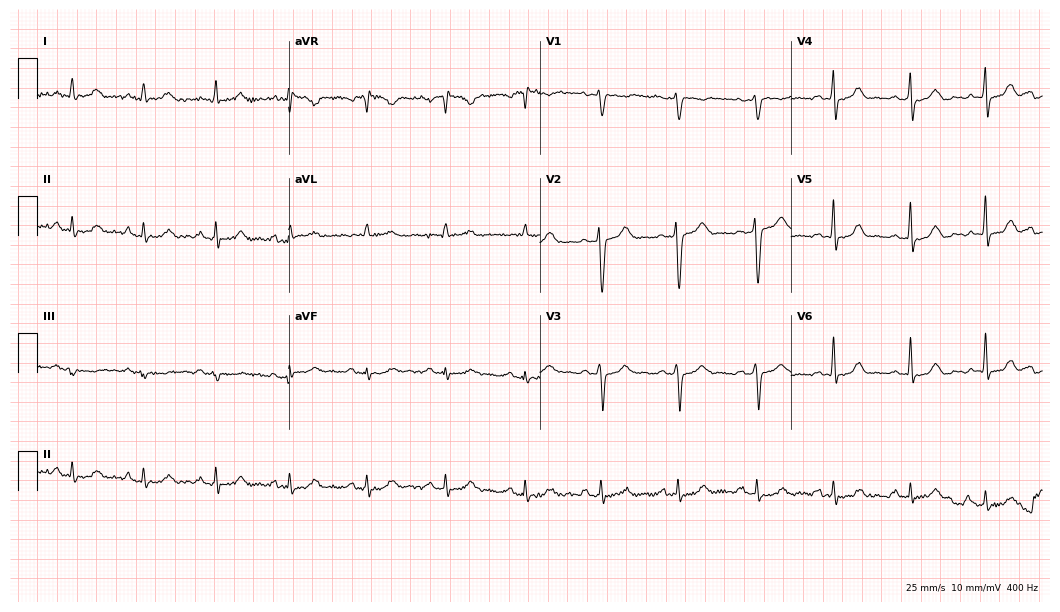
Standard 12-lead ECG recorded from a female, 34 years old (10.2-second recording at 400 Hz). Read as a normal ECG.